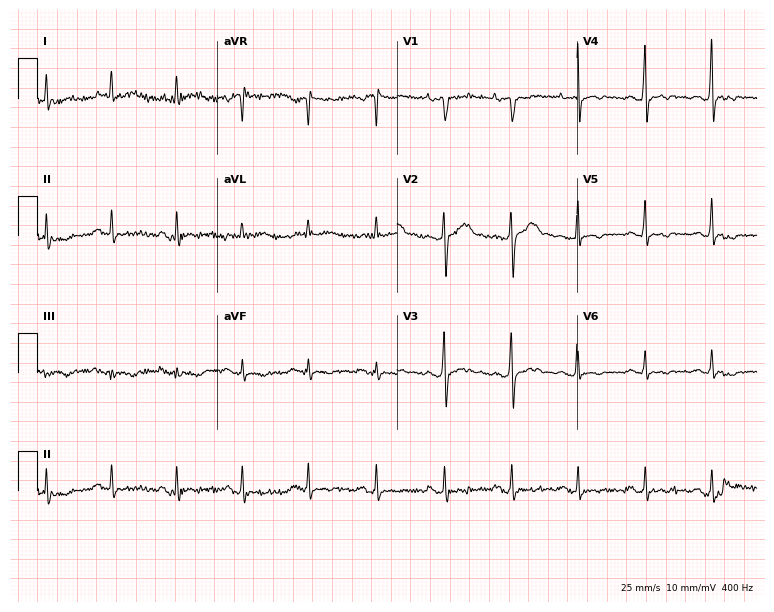
Electrocardiogram (7.3-second recording at 400 Hz), a 44-year-old man. Of the six screened findings (first-degree AV block, right bundle branch block, left bundle branch block, sinus bradycardia, atrial fibrillation, sinus tachycardia), none is recorded. Only these six findings were labelled.